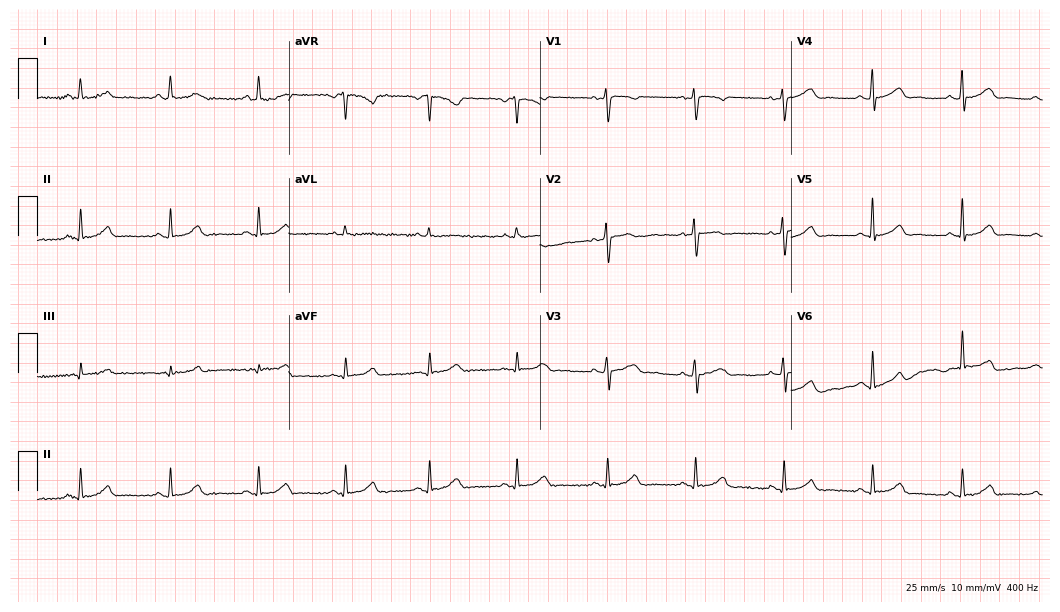
12-lead ECG (10.2-second recording at 400 Hz) from a 47-year-old female. Labelled as a normal ECG.